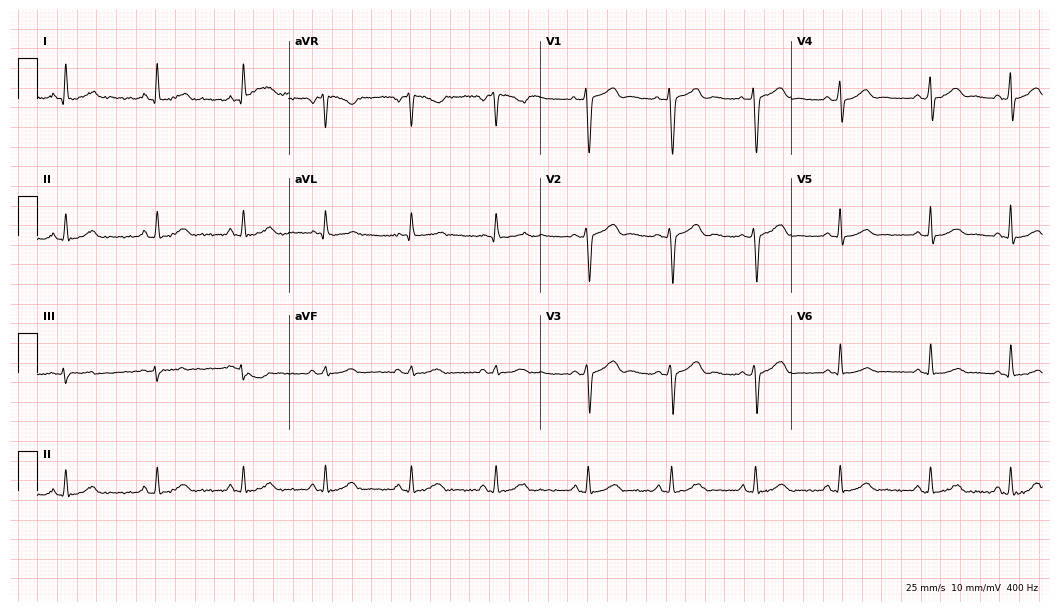
ECG (10.2-second recording at 400 Hz) — a female, 38 years old. Labelled as a normal ECG.